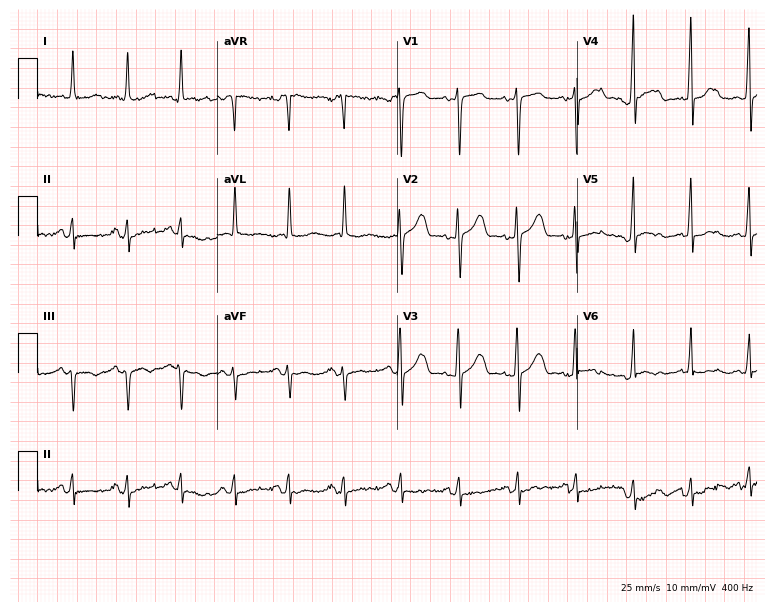
Electrocardiogram, a 41-year-old male patient. Interpretation includes sinus tachycardia (a sinus rate of 100 beats per minute or more).